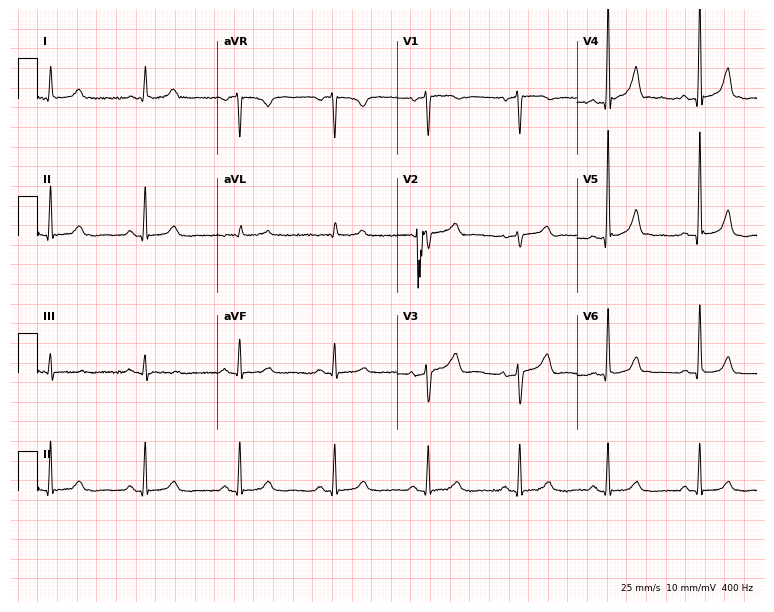
Electrocardiogram (7.3-second recording at 400 Hz), an 80-year-old female patient. Overall reading on record: normal ECG.